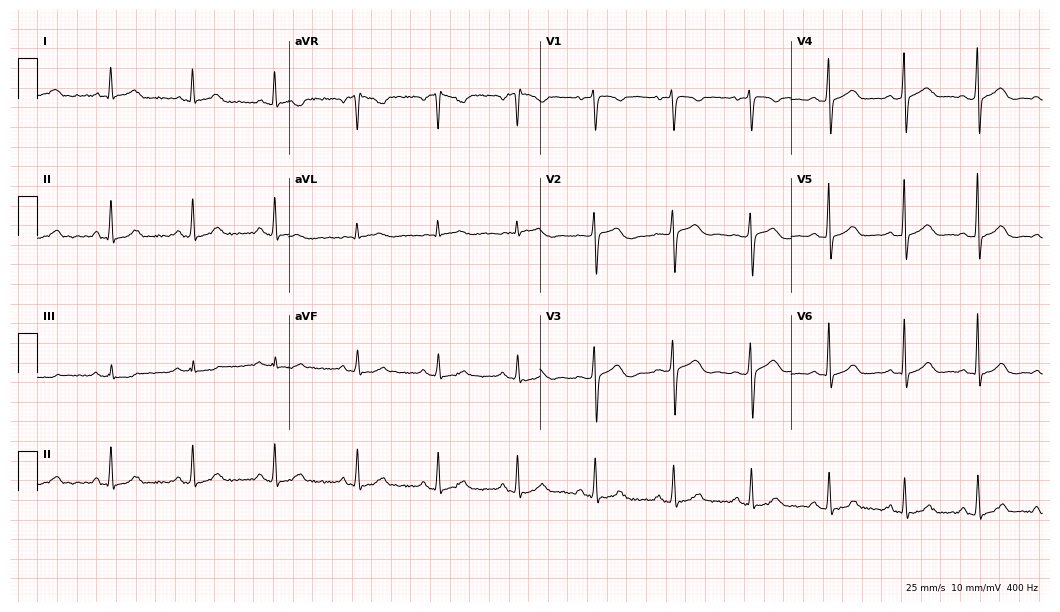
12-lead ECG from a 29-year-old female patient. No first-degree AV block, right bundle branch block (RBBB), left bundle branch block (LBBB), sinus bradycardia, atrial fibrillation (AF) or sinus tachycardia recorded for this tracing.